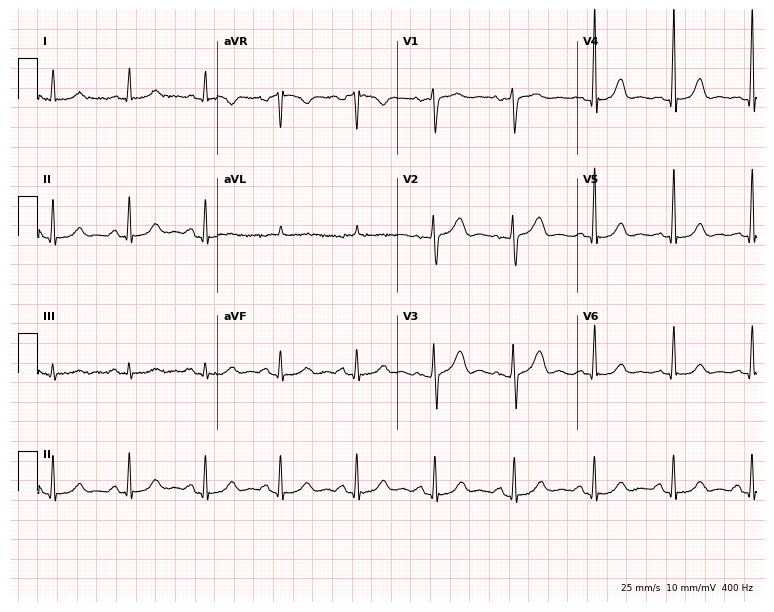
ECG — a 57-year-old woman. Labelled as a normal ECG.